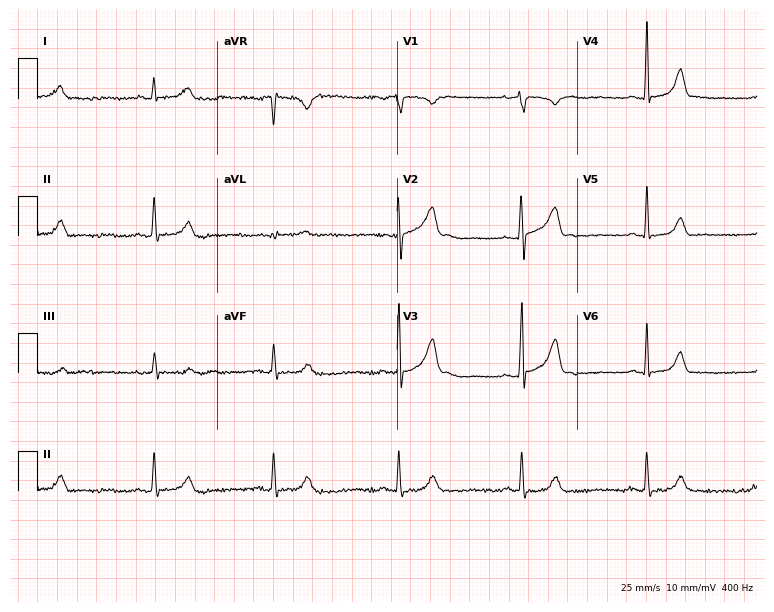
12-lead ECG from a 38-year-old male patient. No first-degree AV block, right bundle branch block (RBBB), left bundle branch block (LBBB), sinus bradycardia, atrial fibrillation (AF) or sinus tachycardia recorded for this tracing.